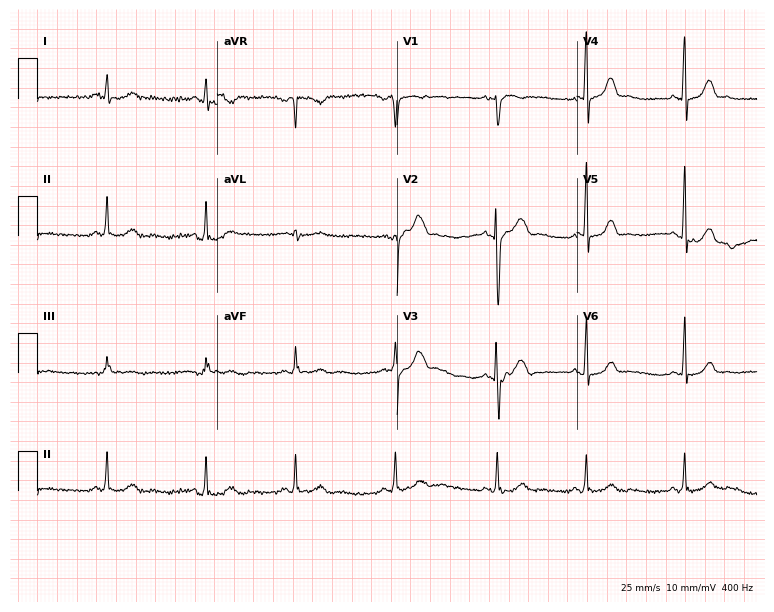
12-lead ECG from a woman, 17 years old (7.3-second recording at 400 Hz). Recorded interpretation: within normal limits.